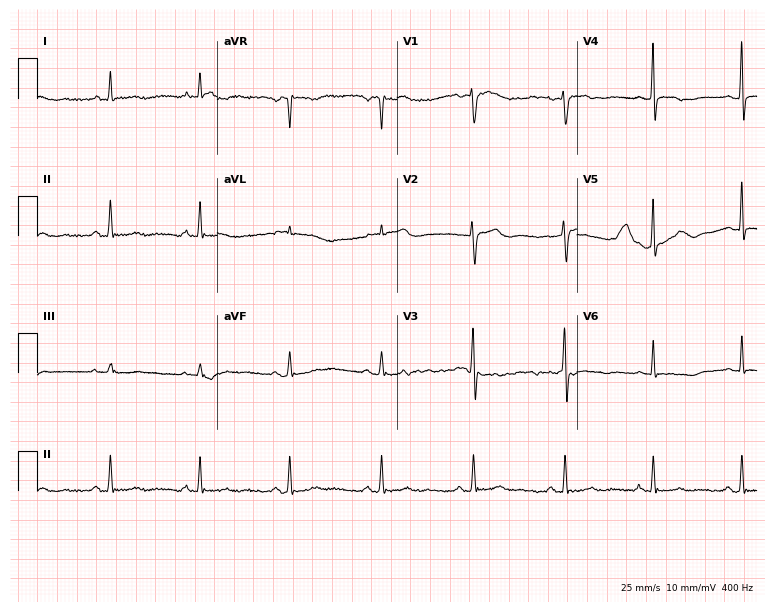
Standard 12-lead ECG recorded from a 51-year-old female patient (7.3-second recording at 400 Hz). None of these six findings is recorded: first-degree AV block, right bundle branch block, left bundle branch block, sinus bradycardia, atrial fibrillation, sinus tachycardia. Other findings, if any, are not listed.